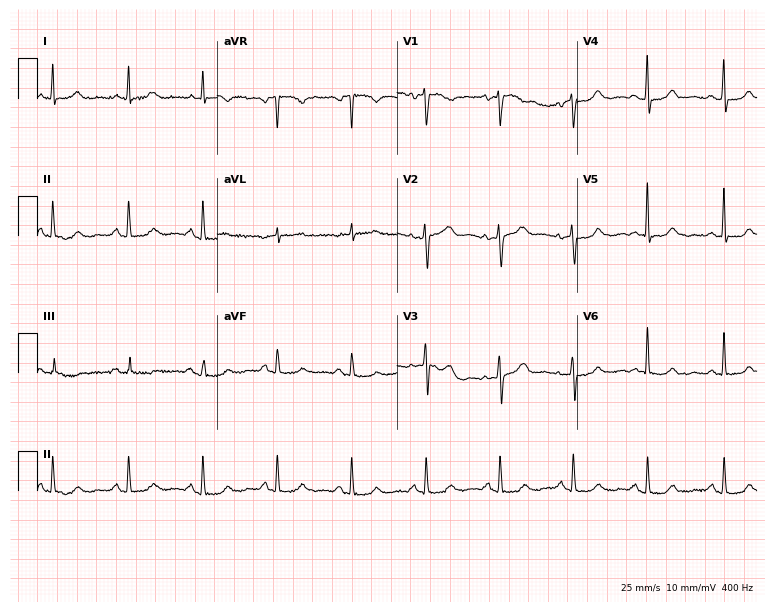
Standard 12-lead ECG recorded from a woman, 49 years old. None of these six findings is recorded: first-degree AV block, right bundle branch block, left bundle branch block, sinus bradycardia, atrial fibrillation, sinus tachycardia.